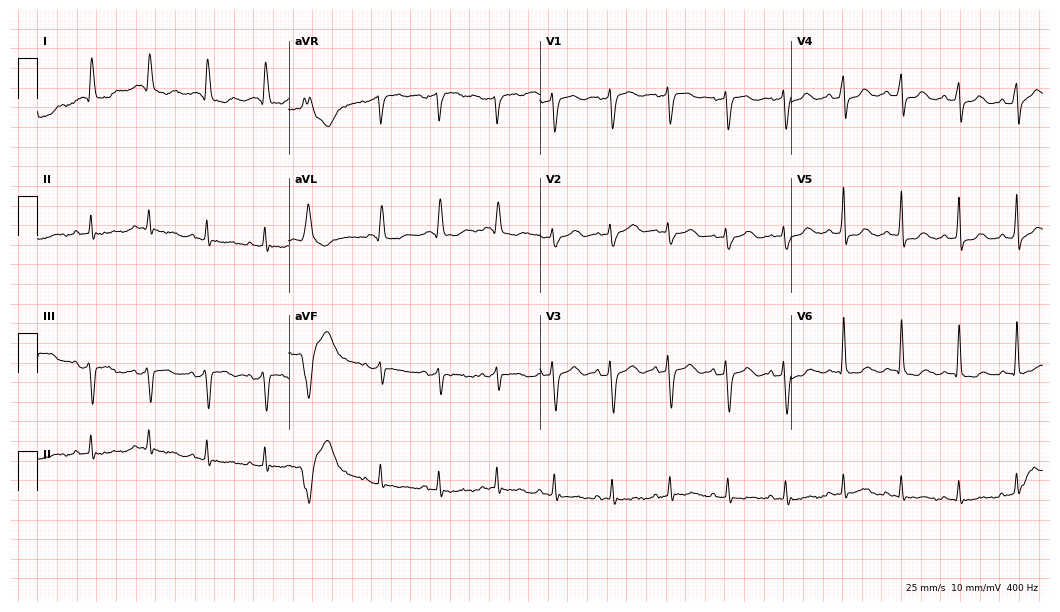
Electrocardiogram, a woman, 84 years old. Interpretation includes sinus tachycardia (a sinus rate of 100 beats per minute or more).